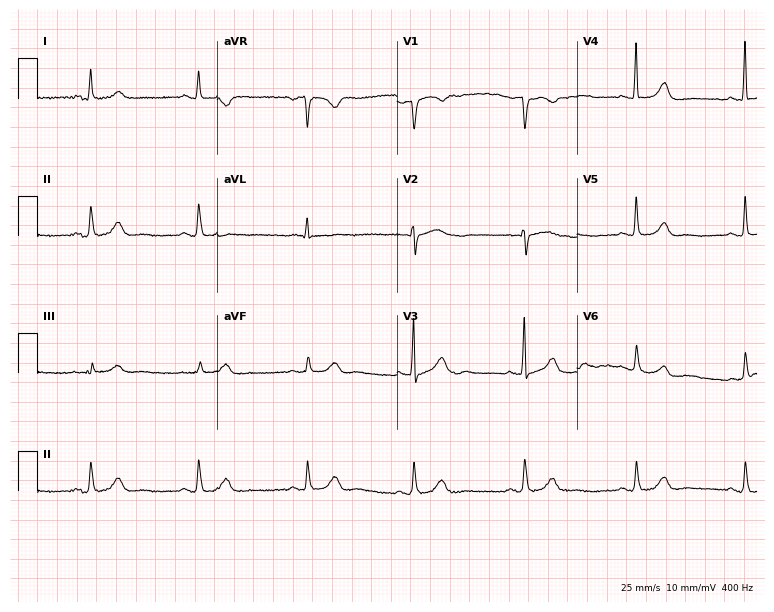
Electrocardiogram, a 65-year-old female patient. Overall reading on record: normal ECG.